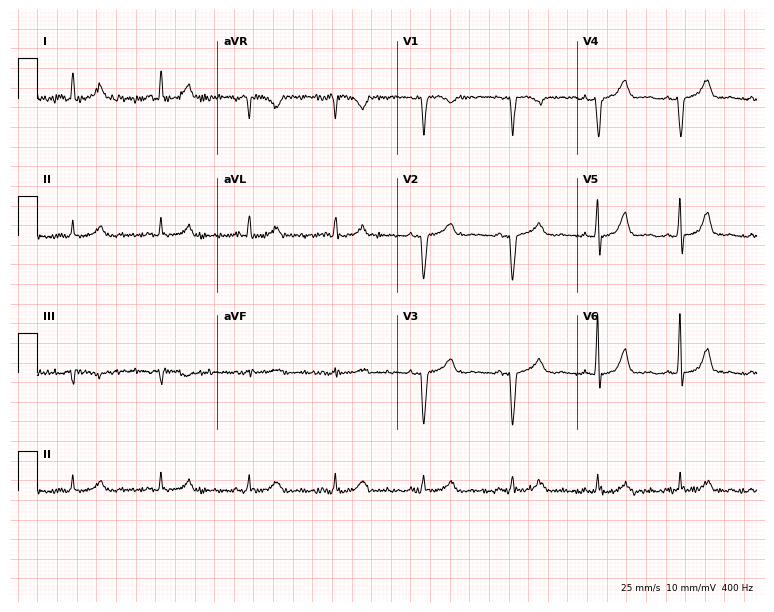
Standard 12-lead ECG recorded from a 42-year-old woman (7.3-second recording at 400 Hz). Read as a normal ECG.